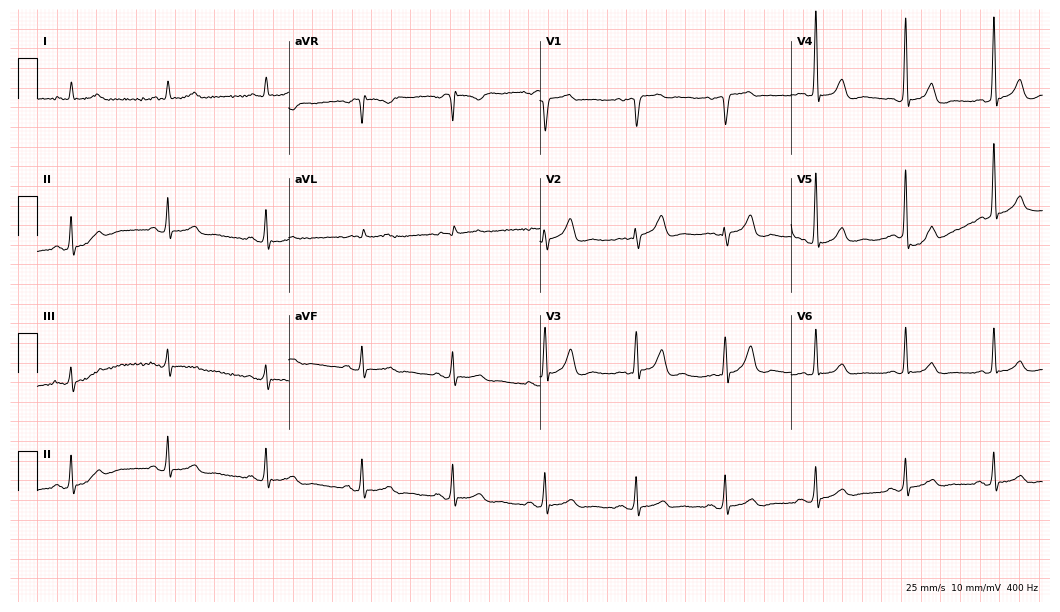
Electrocardiogram (10.2-second recording at 400 Hz), a 77-year-old male patient. Overall reading on record: normal ECG.